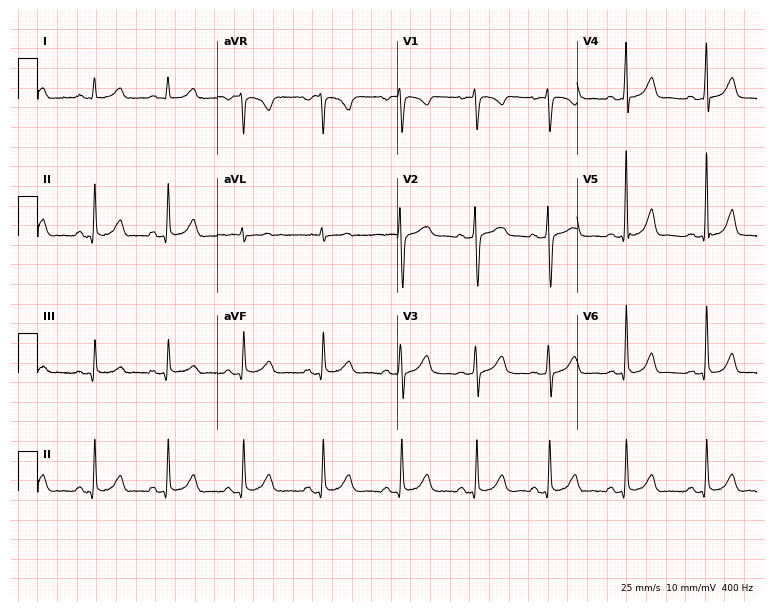
12-lead ECG (7.3-second recording at 400 Hz) from a 29-year-old female. Labelled as a normal ECG.